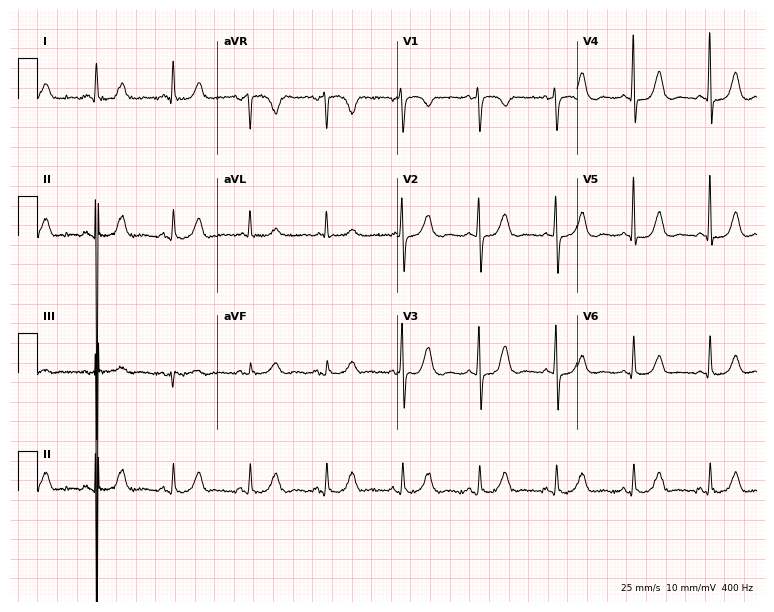
ECG — a 59-year-old woman. Labelled as a normal ECG.